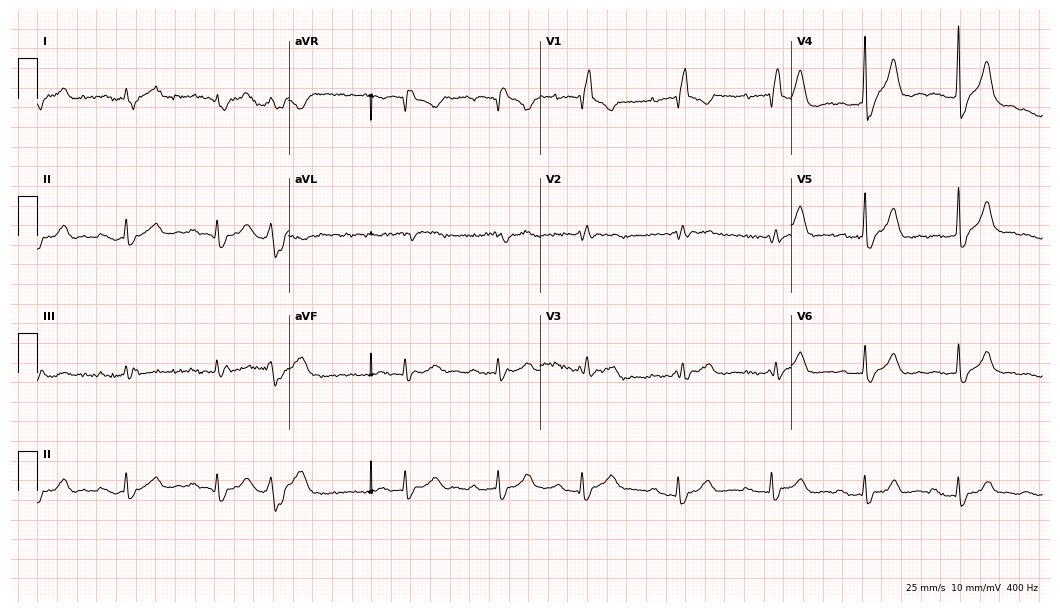
12-lead ECG from an 85-year-old man (10.2-second recording at 400 Hz). No first-degree AV block, right bundle branch block, left bundle branch block, sinus bradycardia, atrial fibrillation or sinus tachycardia recorded for this tracing.